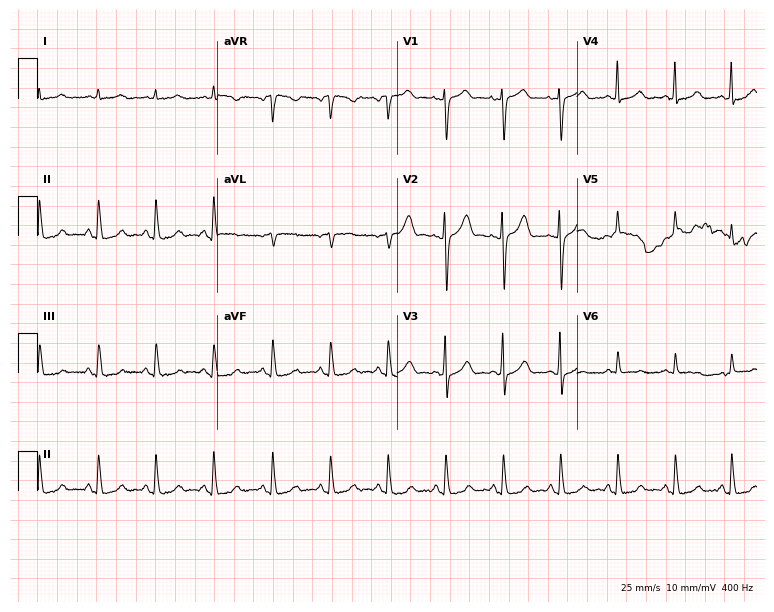
12-lead ECG from a woman, 47 years old. Findings include sinus tachycardia (a sinus rate of 100 beats per minute or more).